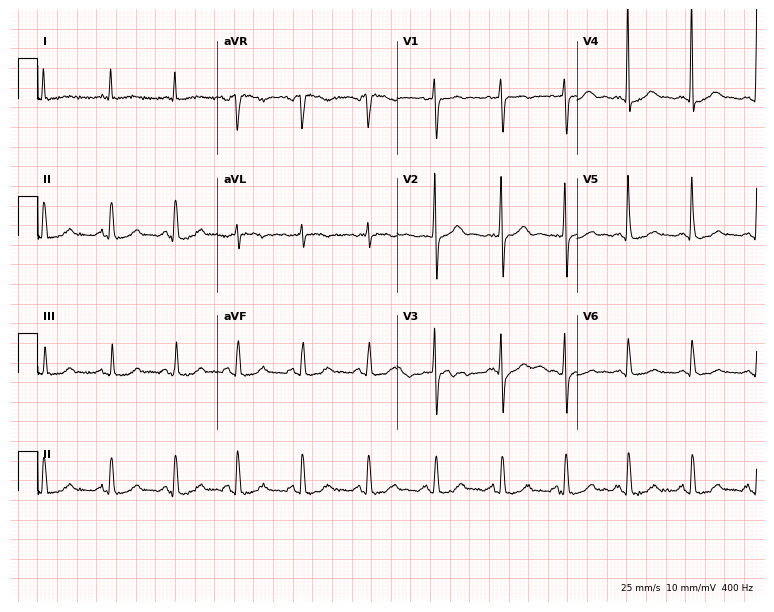
12-lead ECG from a 67-year-old female. Recorded interpretation: within normal limits.